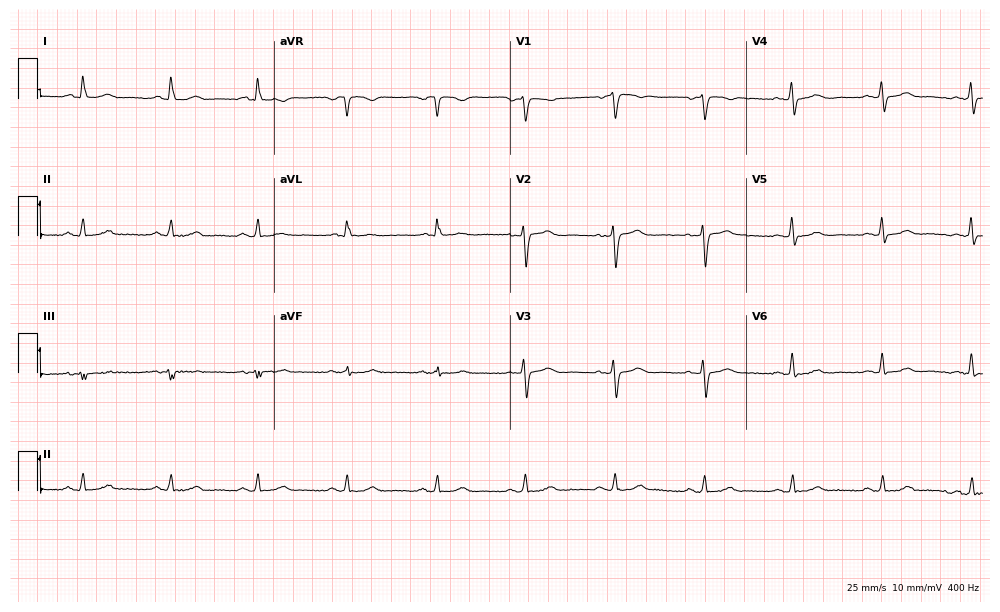
ECG (9.6-second recording at 400 Hz) — a male, 53 years old. Labelled as a normal ECG.